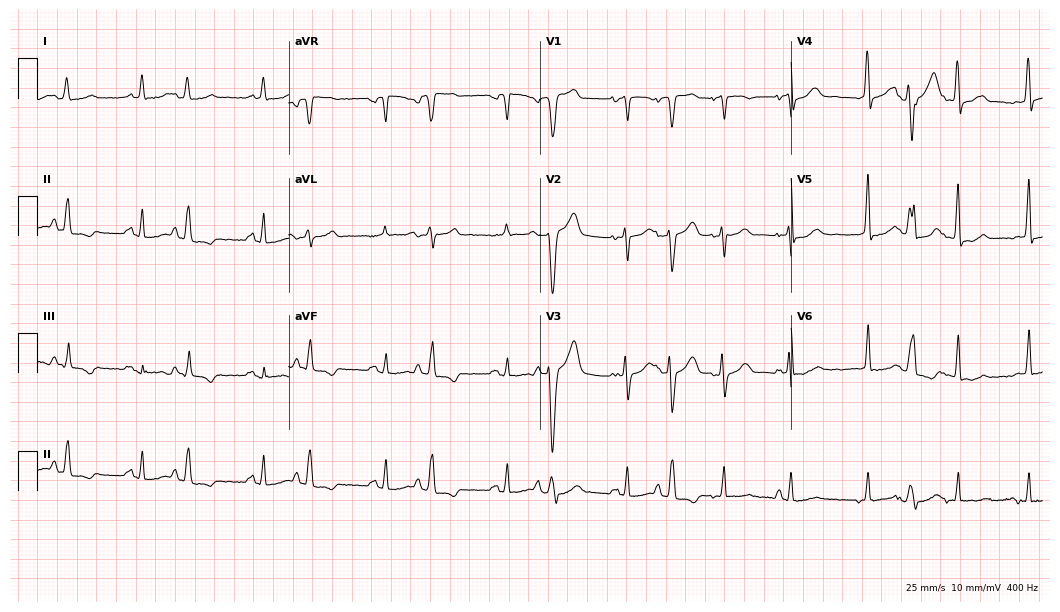
Electrocardiogram, a 66-year-old male. Of the six screened findings (first-degree AV block, right bundle branch block (RBBB), left bundle branch block (LBBB), sinus bradycardia, atrial fibrillation (AF), sinus tachycardia), none is recorded. Findings outside these six are not listed.